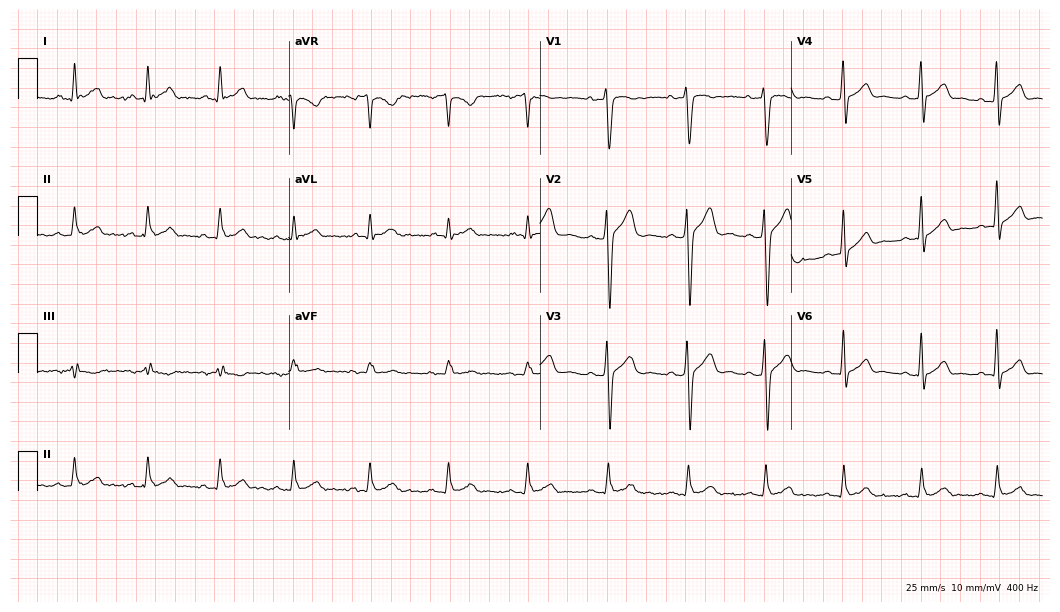
12-lead ECG (10.2-second recording at 400 Hz) from a male patient, 30 years old. Screened for six findings — first-degree AV block, right bundle branch block, left bundle branch block, sinus bradycardia, atrial fibrillation, sinus tachycardia — none is recorded.